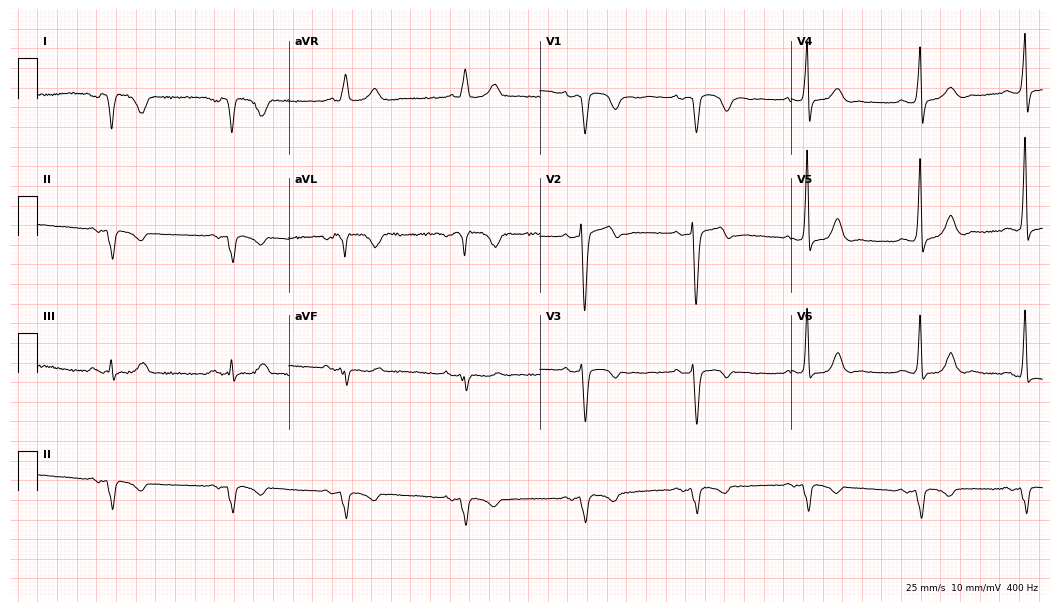
ECG — an 80-year-old male patient. Screened for six findings — first-degree AV block, right bundle branch block (RBBB), left bundle branch block (LBBB), sinus bradycardia, atrial fibrillation (AF), sinus tachycardia — none is recorded.